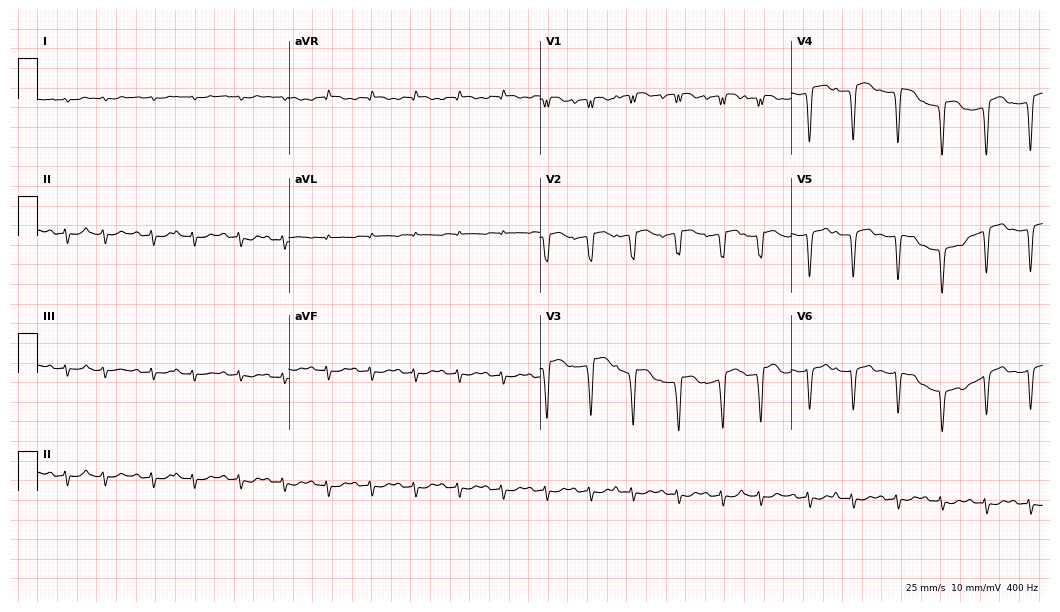
Standard 12-lead ECG recorded from a 76-year-old female patient. None of these six findings is recorded: first-degree AV block, right bundle branch block, left bundle branch block, sinus bradycardia, atrial fibrillation, sinus tachycardia. Other findings, if any, are not listed.